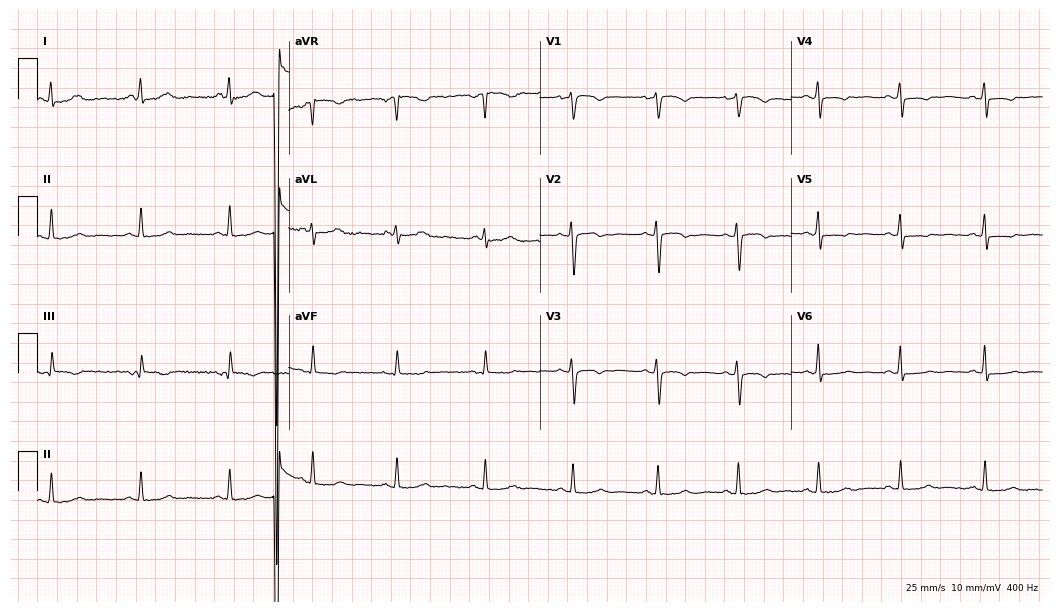
ECG (10.2-second recording at 400 Hz) — a 52-year-old female. Screened for six findings — first-degree AV block, right bundle branch block (RBBB), left bundle branch block (LBBB), sinus bradycardia, atrial fibrillation (AF), sinus tachycardia — none is recorded. Findings outside these six are not listed.